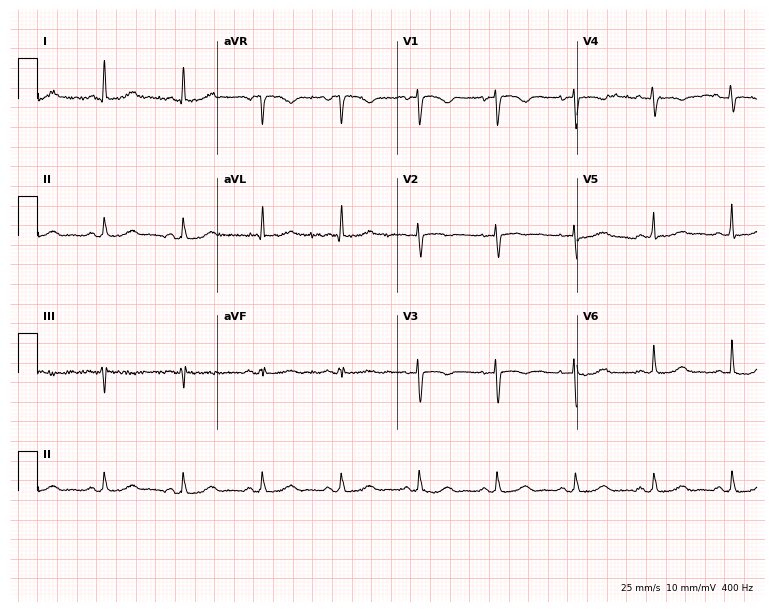
ECG — a woman, 62 years old. Screened for six findings — first-degree AV block, right bundle branch block, left bundle branch block, sinus bradycardia, atrial fibrillation, sinus tachycardia — none is recorded.